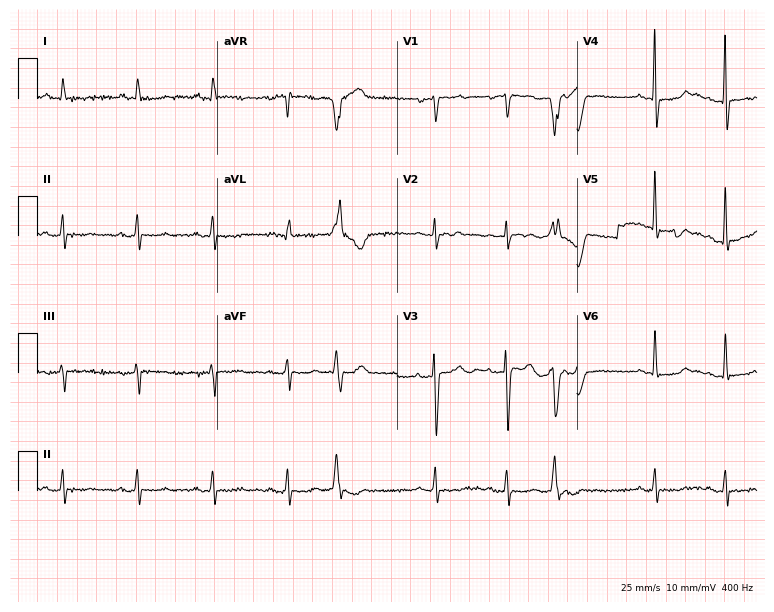
12-lead ECG from a man, 80 years old (7.3-second recording at 400 Hz). No first-degree AV block, right bundle branch block, left bundle branch block, sinus bradycardia, atrial fibrillation or sinus tachycardia recorded for this tracing.